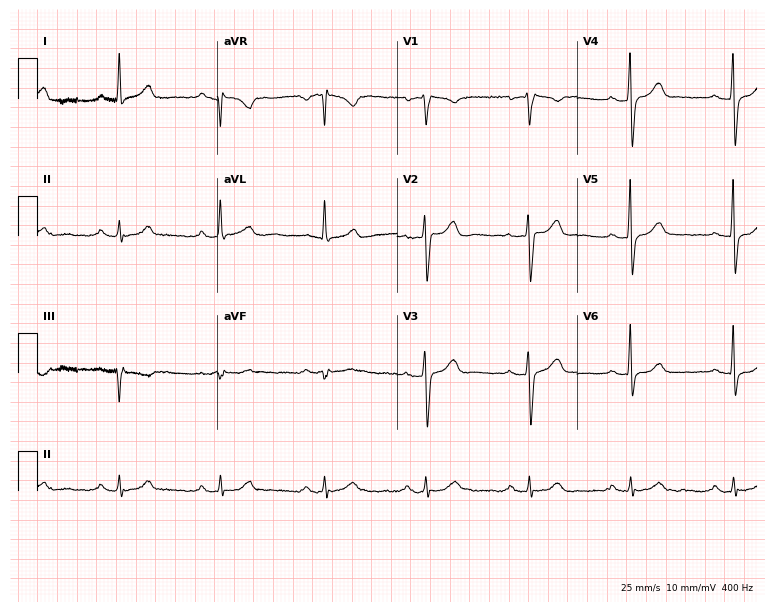
Electrocardiogram (7.3-second recording at 400 Hz), a 71-year-old male. Overall reading on record: normal ECG.